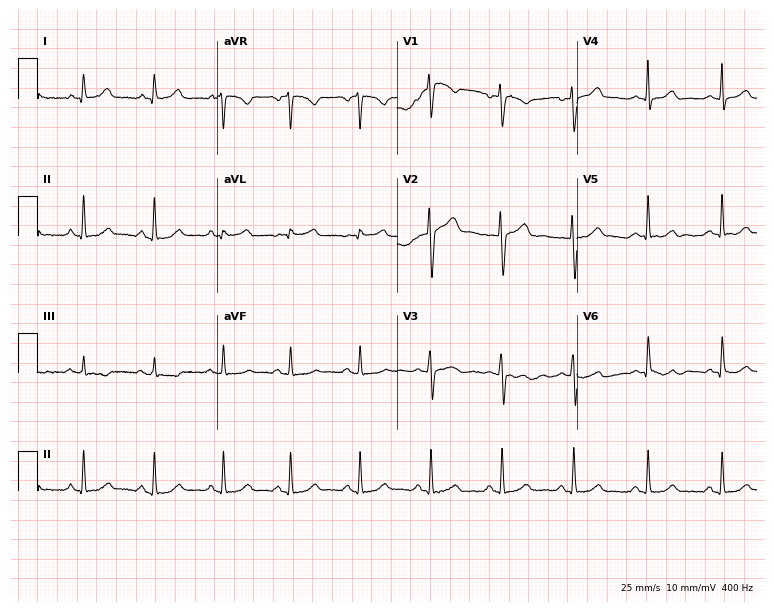
Electrocardiogram (7.3-second recording at 400 Hz), a 40-year-old female patient. Overall reading on record: normal ECG.